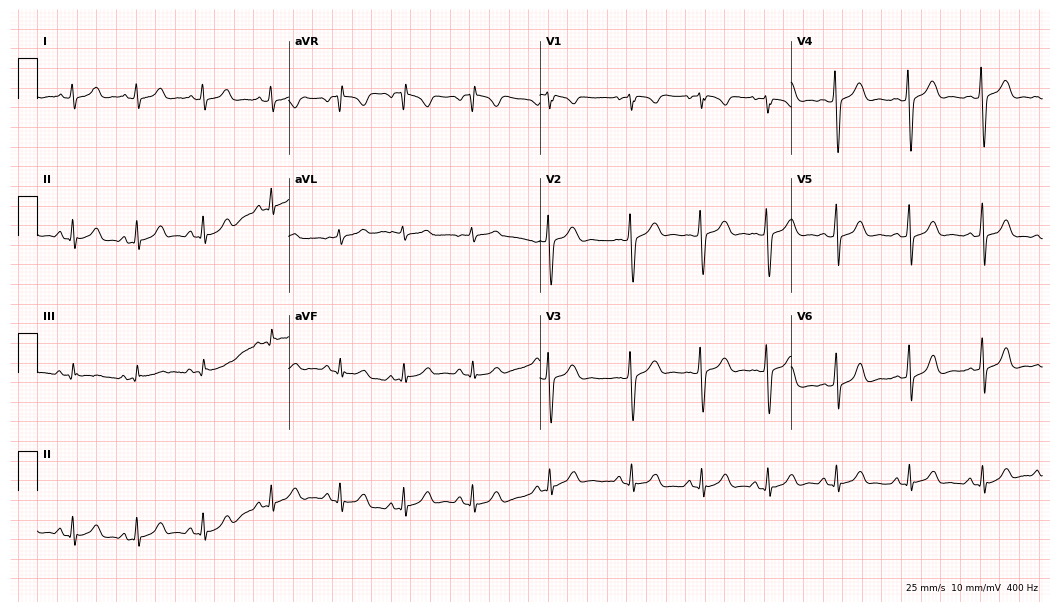
12-lead ECG from a female patient, 21 years old (10.2-second recording at 400 Hz). No first-degree AV block, right bundle branch block, left bundle branch block, sinus bradycardia, atrial fibrillation or sinus tachycardia recorded for this tracing. Only these six findings were labelled.